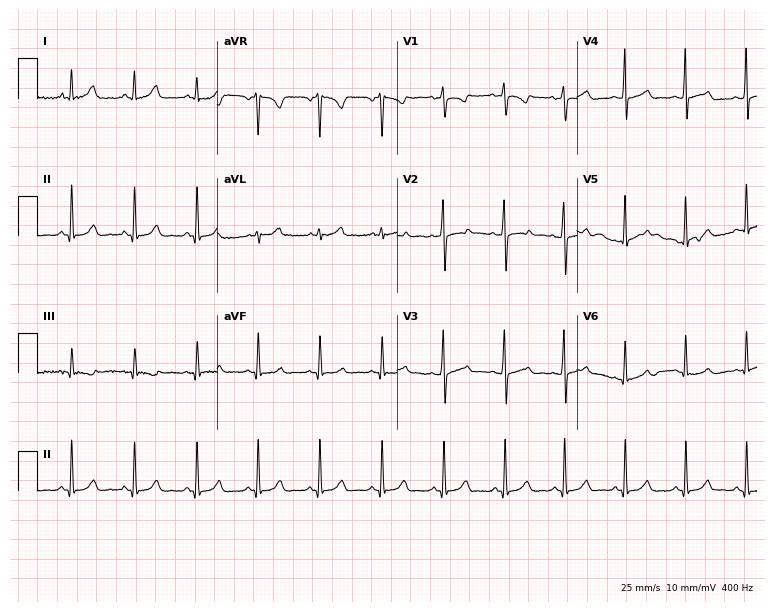
12-lead ECG (7.3-second recording at 400 Hz) from a 24-year-old female. Screened for six findings — first-degree AV block, right bundle branch block, left bundle branch block, sinus bradycardia, atrial fibrillation, sinus tachycardia — none is recorded. Only these six findings were labelled.